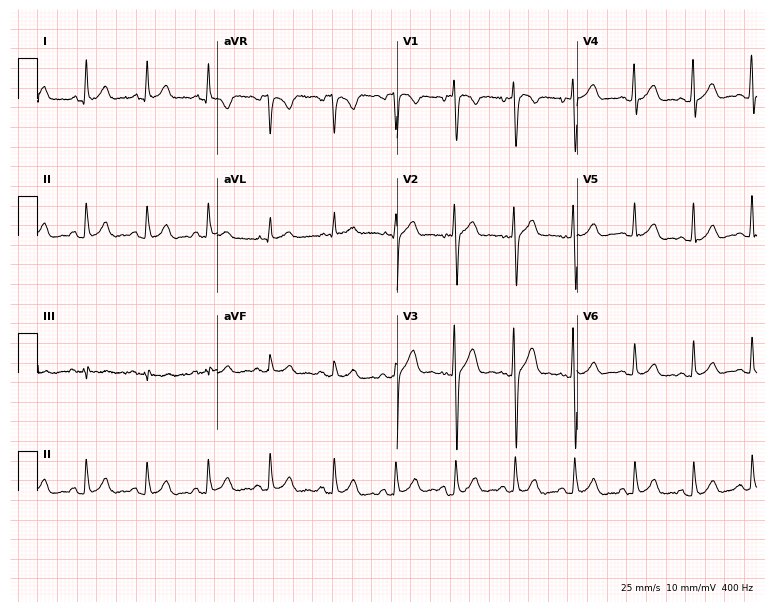
12-lead ECG from a 19-year-old man. Recorded interpretation: within normal limits.